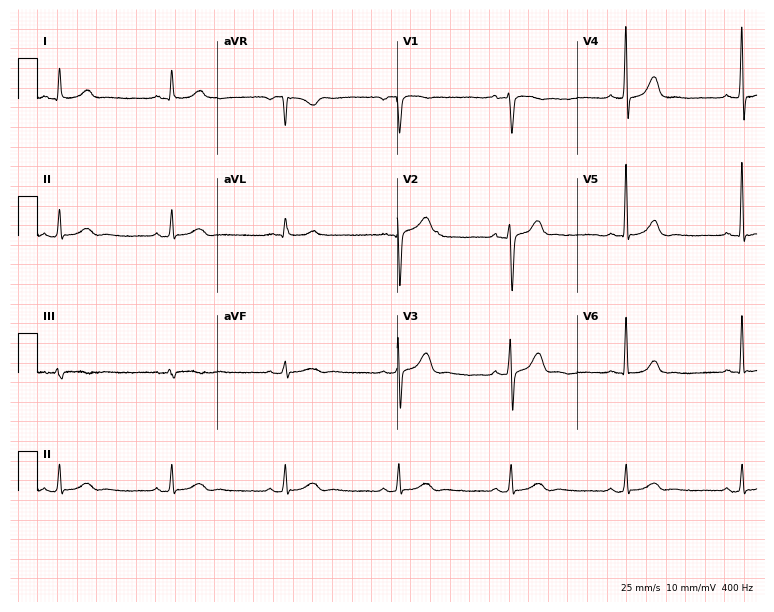
Resting 12-lead electrocardiogram (7.3-second recording at 400 Hz). Patient: a man, 66 years old. None of these six findings is recorded: first-degree AV block, right bundle branch block, left bundle branch block, sinus bradycardia, atrial fibrillation, sinus tachycardia.